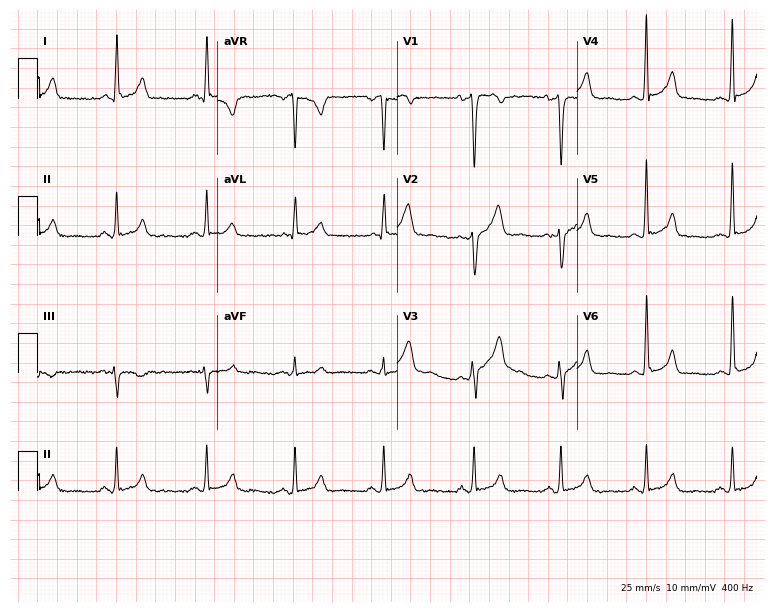
Standard 12-lead ECG recorded from a 40-year-old male. Read as a normal ECG.